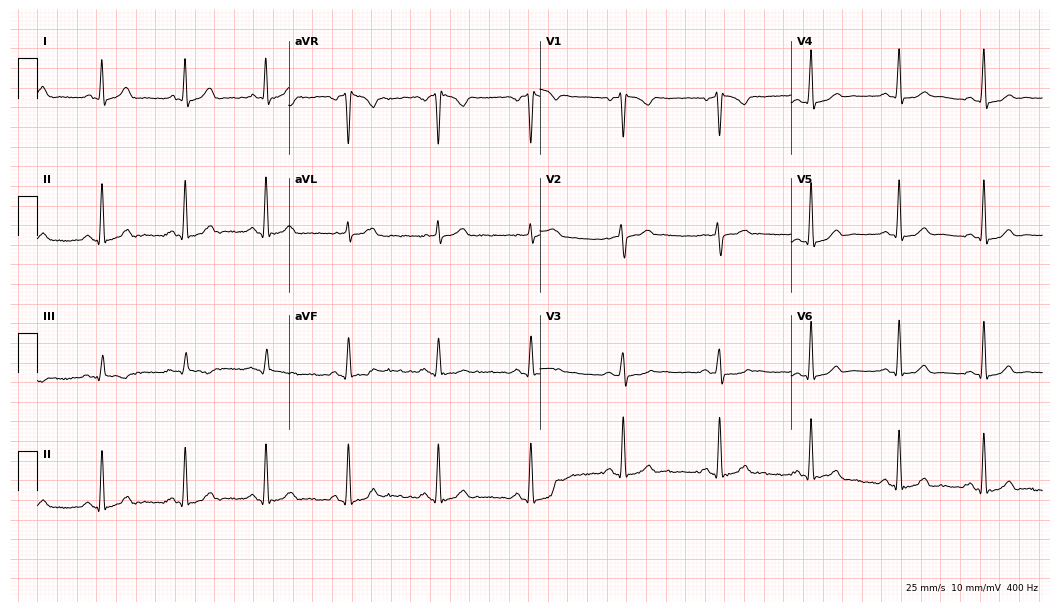
12-lead ECG from a male patient, 31 years old (10.2-second recording at 400 Hz). Recorded interpretation: within normal limits.